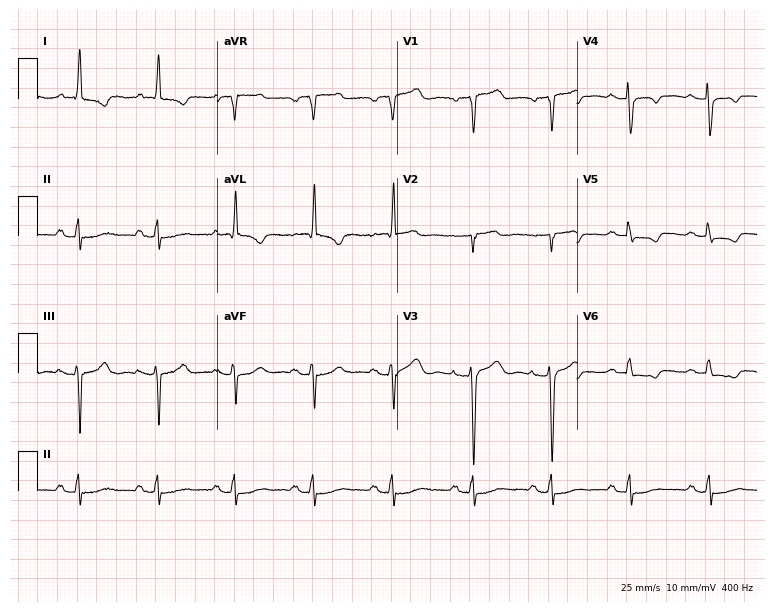
Electrocardiogram, a 68-year-old woman. Of the six screened findings (first-degree AV block, right bundle branch block, left bundle branch block, sinus bradycardia, atrial fibrillation, sinus tachycardia), none is recorded.